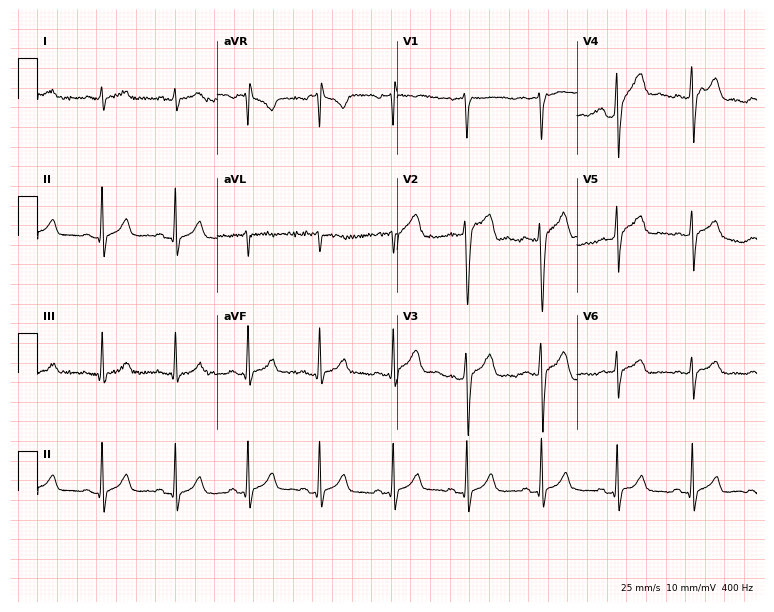
12-lead ECG from a 37-year-old man. Screened for six findings — first-degree AV block, right bundle branch block, left bundle branch block, sinus bradycardia, atrial fibrillation, sinus tachycardia — none is recorded. Findings outside these six are not listed.